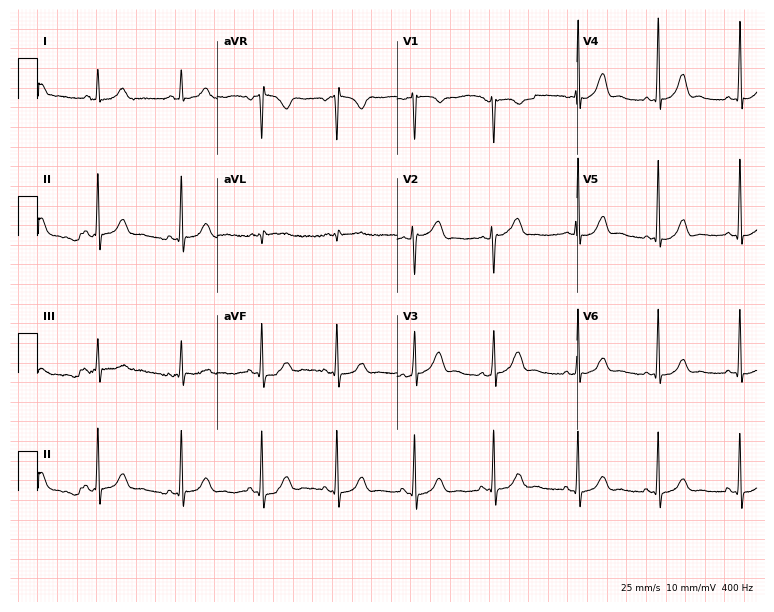
12-lead ECG (7.3-second recording at 400 Hz) from a 24-year-old woman. Screened for six findings — first-degree AV block, right bundle branch block (RBBB), left bundle branch block (LBBB), sinus bradycardia, atrial fibrillation (AF), sinus tachycardia — none is recorded. Findings outside these six are not listed.